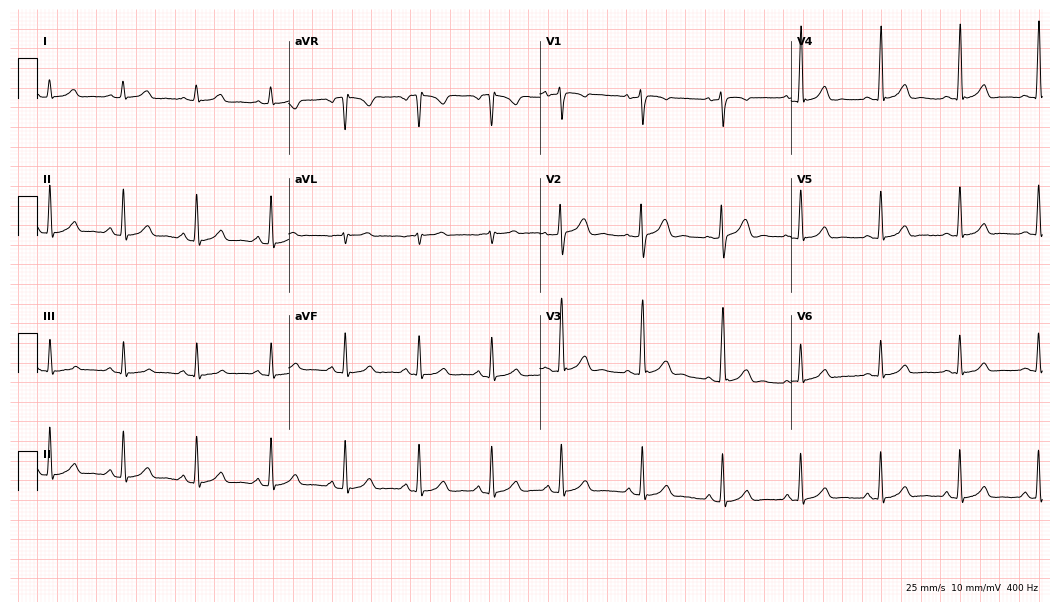
ECG (10.2-second recording at 400 Hz) — a 21-year-old male patient. Labelled as a normal ECG.